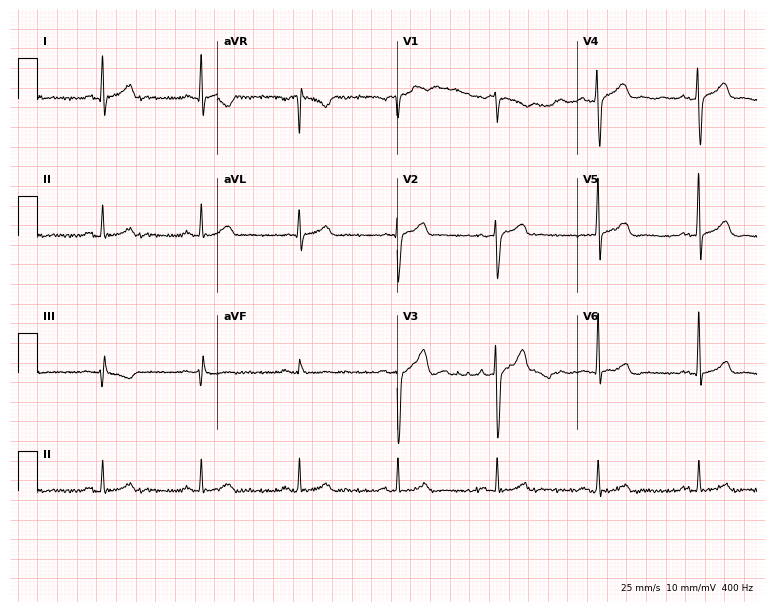
Resting 12-lead electrocardiogram (7.3-second recording at 400 Hz). Patient: a 38-year-old man. Read as a normal ECG.